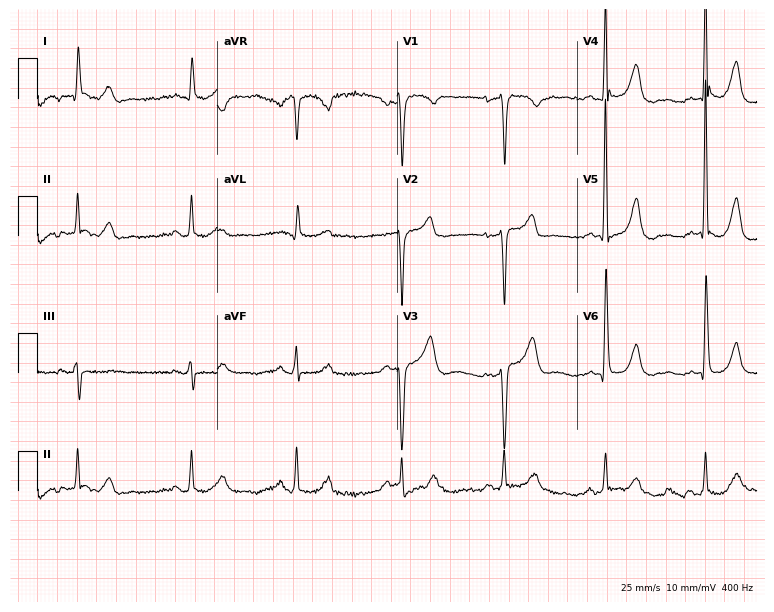
ECG — a 63-year-old male. Labelled as a normal ECG.